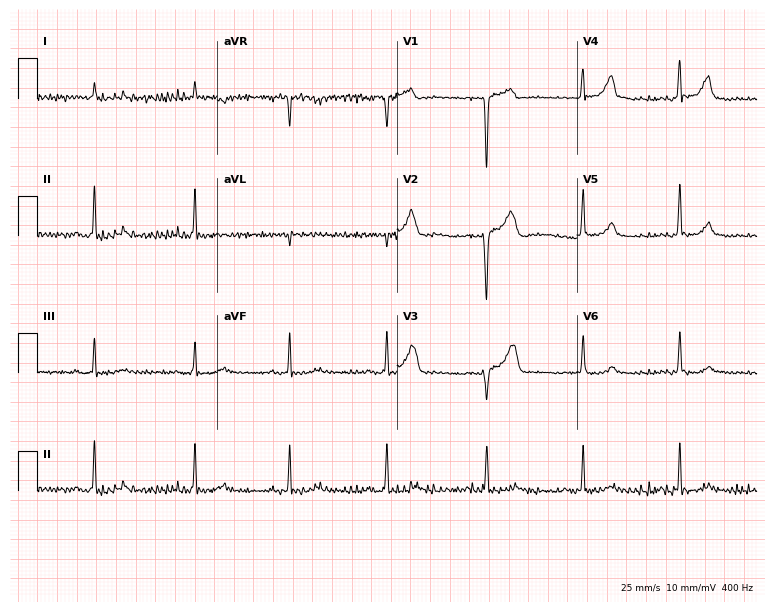
12-lead ECG from a male patient, 85 years old (7.3-second recording at 400 Hz). No first-degree AV block, right bundle branch block, left bundle branch block, sinus bradycardia, atrial fibrillation or sinus tachycardia recorded for this tracing. Only these six findings were labelled.